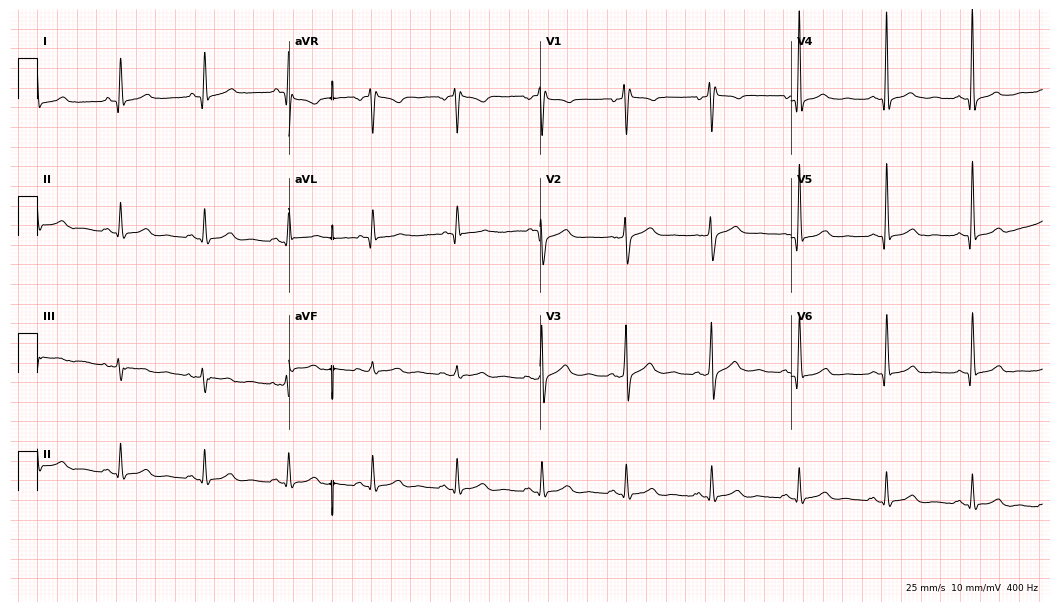
12-lead ECG from a 46-year-old man. No first-degree AV block, right bundle branch block, left bundle branch block, sinus bradycardia, atrial fibrillation or sinus tachycardia recorded for this tracing.